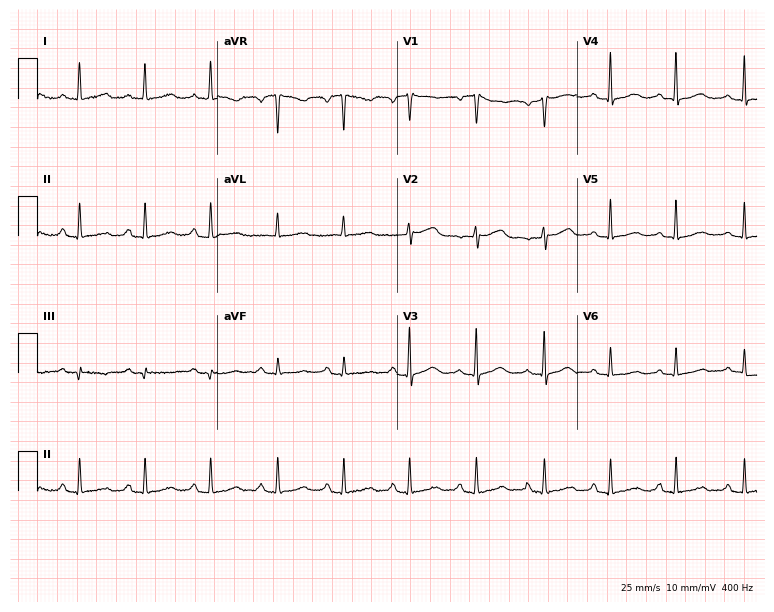
Electrocardiogram, a female patient, 64 years old. Overall reading on record: normal ECG.